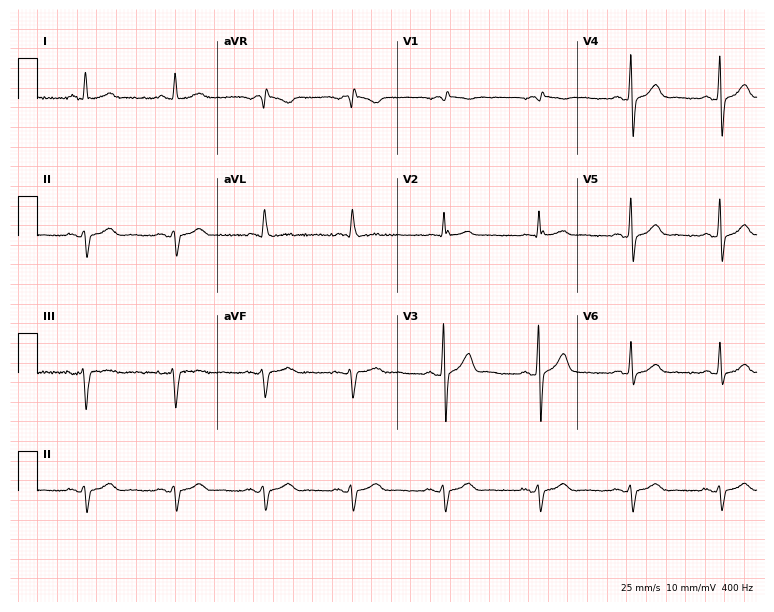
Standard 12-lead ECG recorded from a 56-year-old man. None of these six findings is recorded: first-degree AV block, right bundle branch block, left bundle branch block, sinus bradycardia, atrial fibrillation, sinus tachycardia.